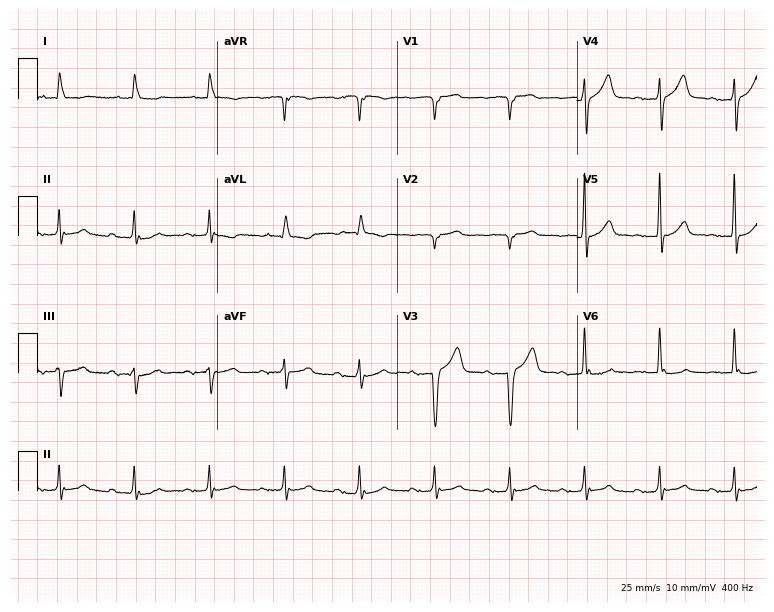
Standard 12-lead ECG recorded from a male, 85 years old. None of these six findings is recorded: first-degree AV block, right bundle branch block, left bundle branch block, sinus bradycardia, atrial fibrillation, sinus tachycardia. Only these six findings were labelled.